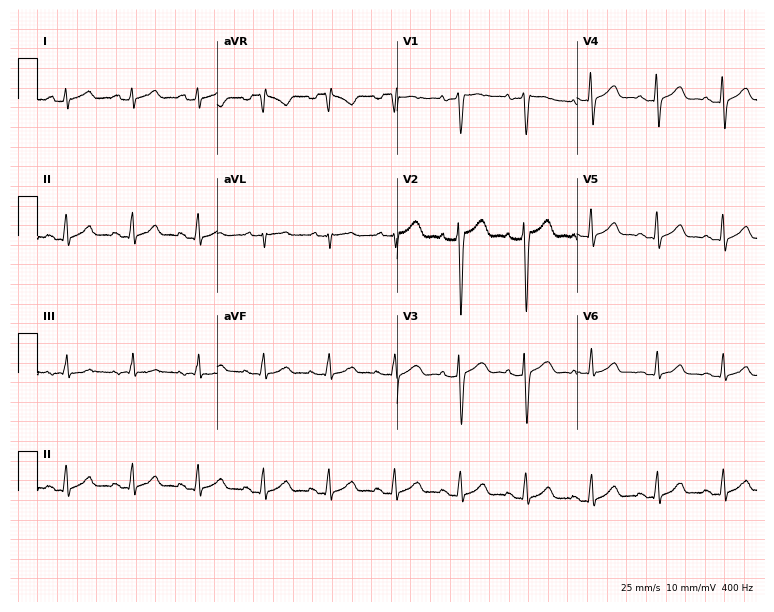
ECG (7.3-second recording at 400 Hz) — a female patient, 55 years old. Labelled as a normal ECG.